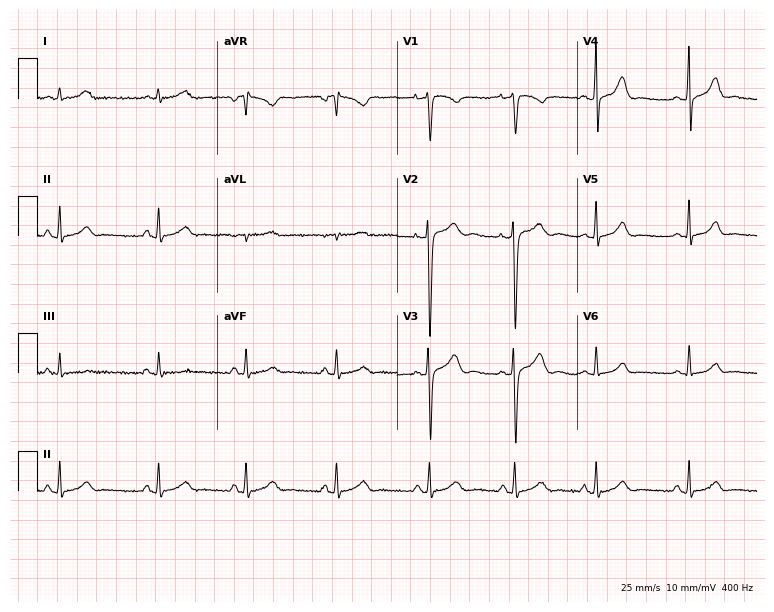
Electrocardiogram (7.3-second recording at 400 Hz), a 17-year-old woman. Of the six screened findings (first-degree AV block, right bundle branch block, left bundle branch block, sinus bradycardia, atrial fibrillation, sinus tachycardia), none is recorded. Other findings, if any, are not listed.